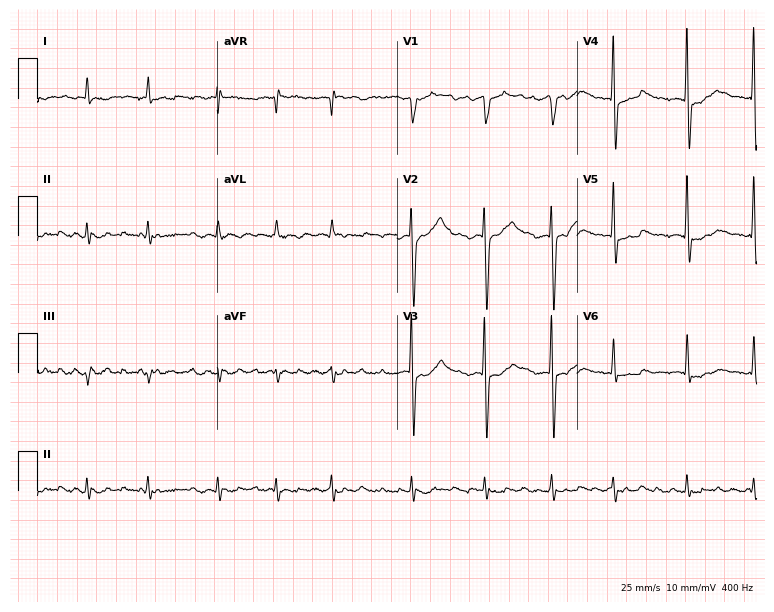
12-lead ECG from a 77-year-old man. Shows atrial fibrillation (AF).